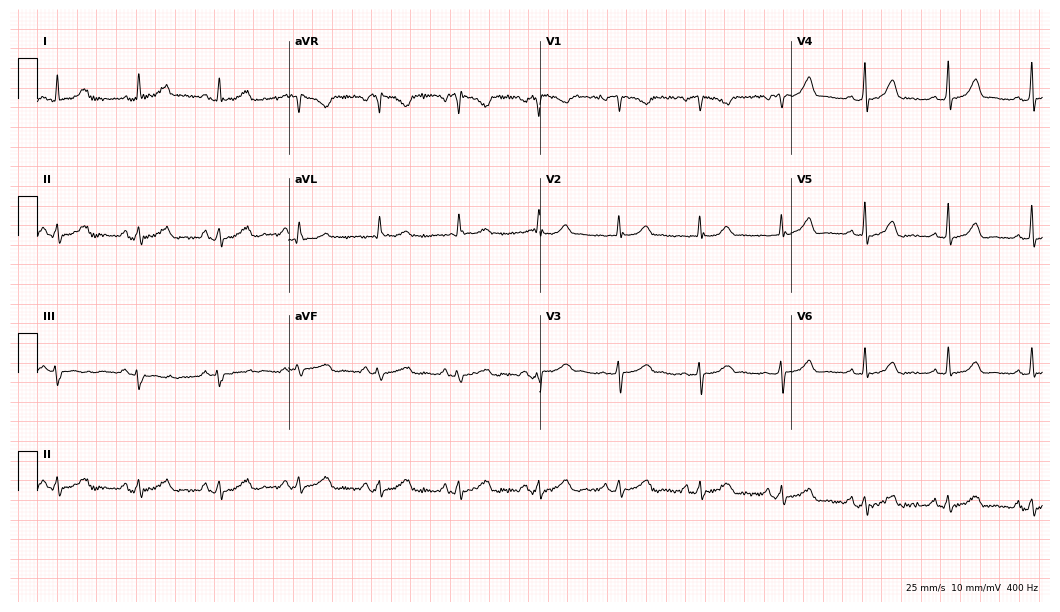
Electrocardiogram (10.2-second recording at 400 Hz), a 40-year-old female patient. Overall reading on record: normal ECG.